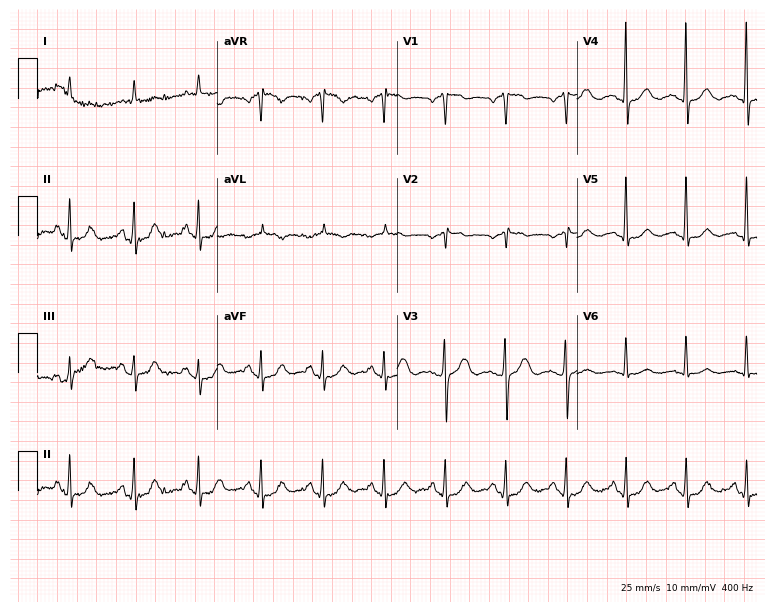
12-lead ECG (7.3-second recording at 400 Hz) from a 71-year-old male patient. Screened for six findings — first-degree AV block, right bundle branch block (RBBB), left bundle branch block (LBBB), sinus bradycardia, atrial fibrillation (AF), sinus tachycardia — none is recorded.